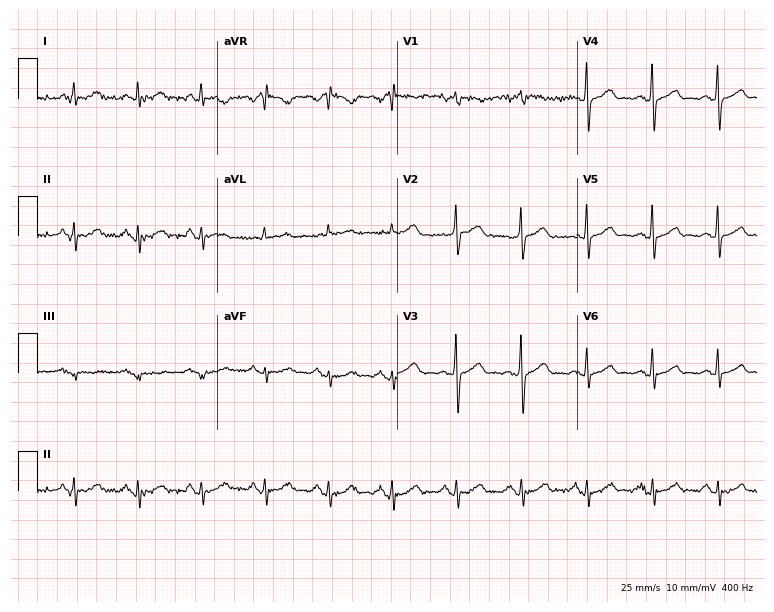
Resting 12-lead electrocardiogram. Patient: a 69-year-old woman. Read as a normal ECG.